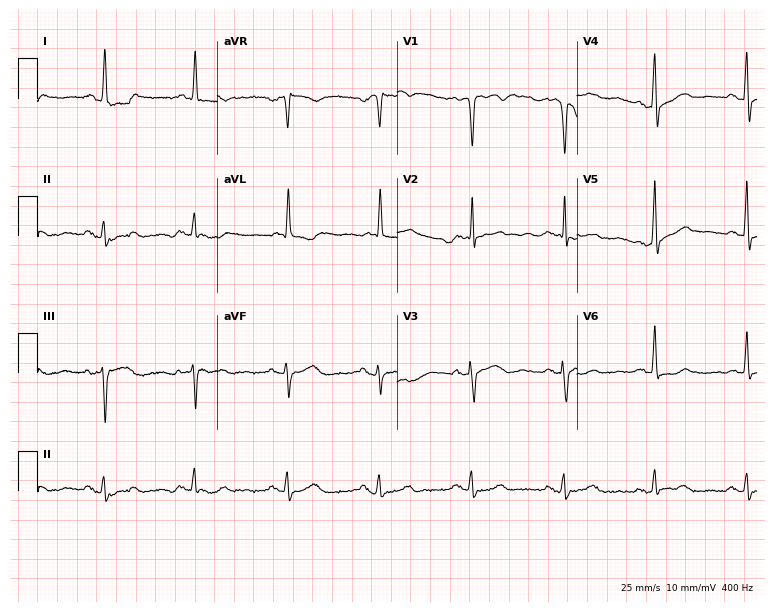
12-lead ECG (7.3-second recording at 400 Hz) from a female patient, 64 years old. Screened for six findings — first-degree AV block, right bundle branch block, left bundle branch block, sinus bradycardia, atrial fibrillation, sinus tachycardia — none is recorded. Findings outside these six are not listed.